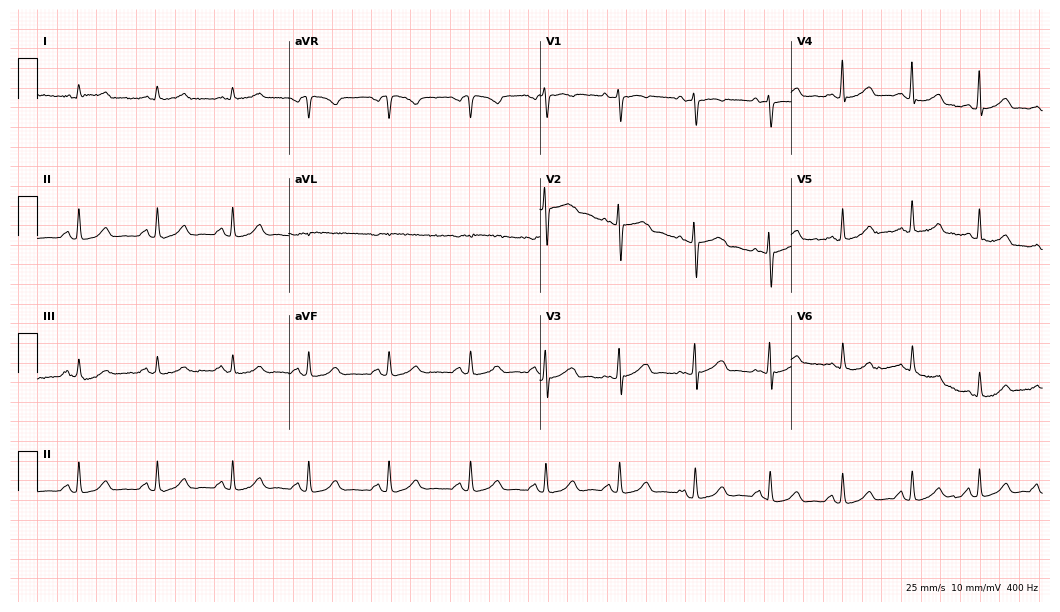
Electrocardiogram (10.2-second recording at 400 Hz), a female, 41 years old. Overall reading on record: normal ECG.